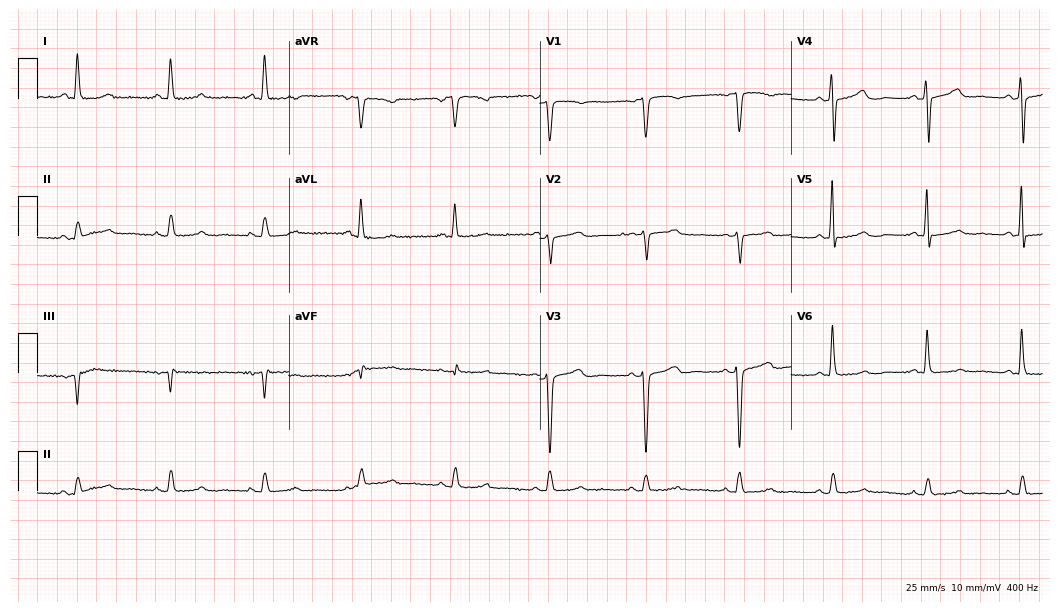
Standard 12-lead ECG recorded from a 58-year-old female (10.2-second recording at 400 Hz). Read as a normal ECG.